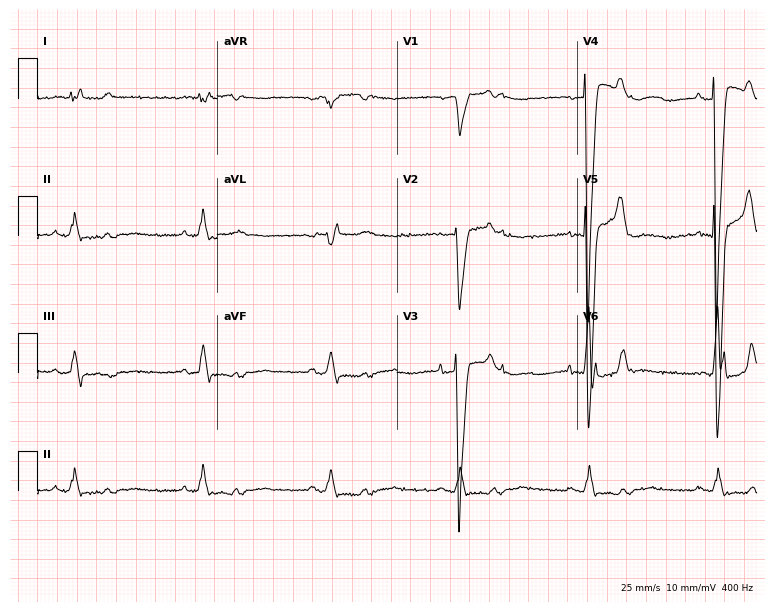
Standard 12-lead ECG recorded from a 77-year-old man (7.3-second recording at 400 Hz). None of these six findings is recorded: first-degree AV block, right bundle branch block, left bundle branch block, sinus bradycardia, atrial fibrillation, sinus tachycardia.